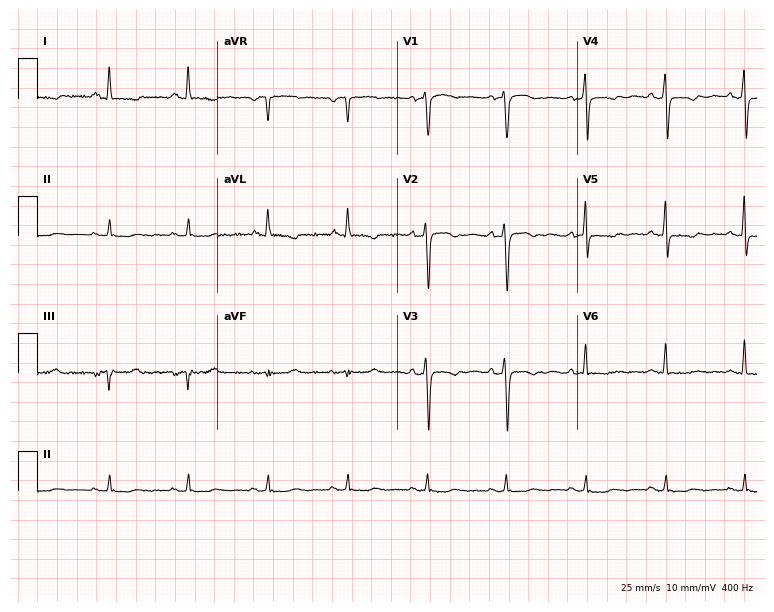
12-lead ECG from a 64-year-old woman (7.3-second recording at 400 Hz). No first-degree AV block, right bundle branch block (RBBB), left bundle branch block (LBBB), sinus bradycardia, atrial fibrillation (AF) or sinus tachycardia recorded for this tracing. Other findings, if any, are not listed.